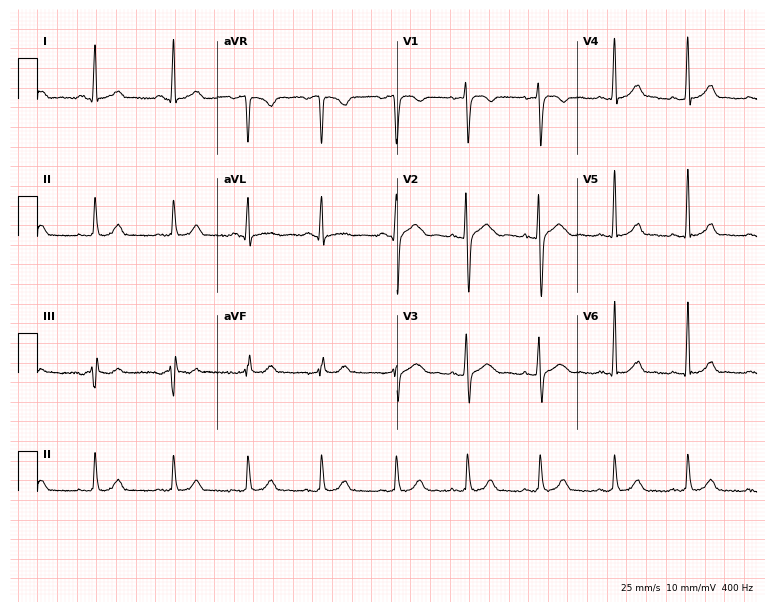
Electrocardiogram (7.3-second recording at 400 Hz), a female patient, 23 years old. Overall reading on record: normal ECG.